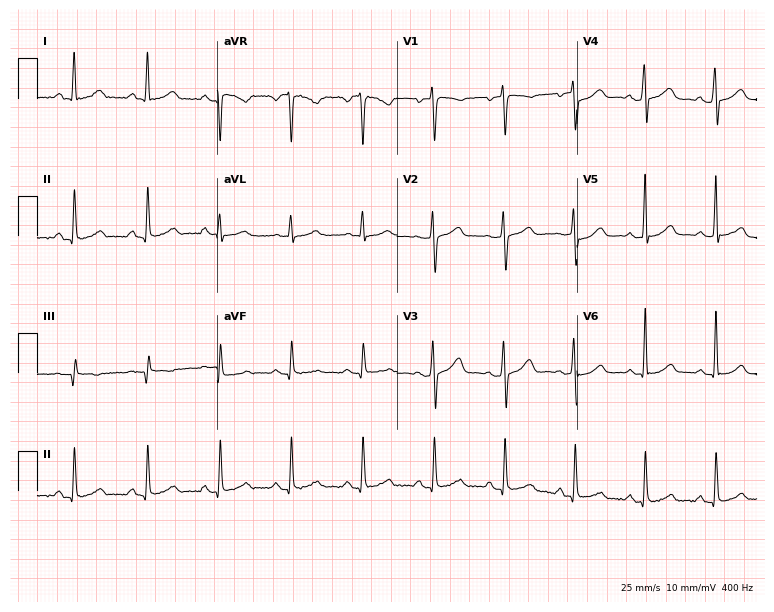
Resting 12-lead electrocardiogram (7.3-second recording at 400 Hz). Patient: a woman, 50 years old. None of these six findings is recorded: first-degree AV block, right bundle branch block, left bundle branch block, sinus bradycardia, atrial fibrillation, sinus tachycardia. Findings outside these six are not listed.